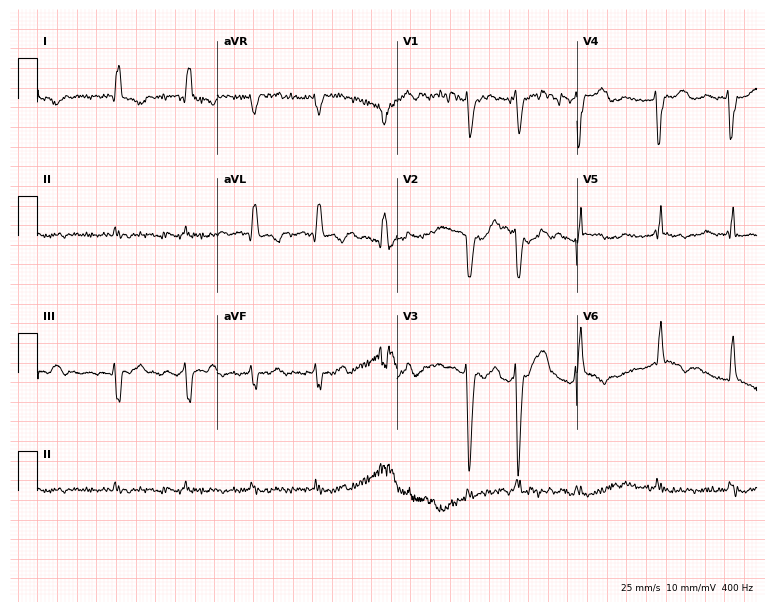
Electrocardiogram (7.3-second recording at 400 Hz), a female, 35 years old. Of the six screened findings (first-degree AV block, right bundle branch block (RBBB), left bundle branch block (LBBB), sinus bradycardia, atrial fibrillation (AF), sinus tachycardia), none is recorded. Findings outside these six are not listed.